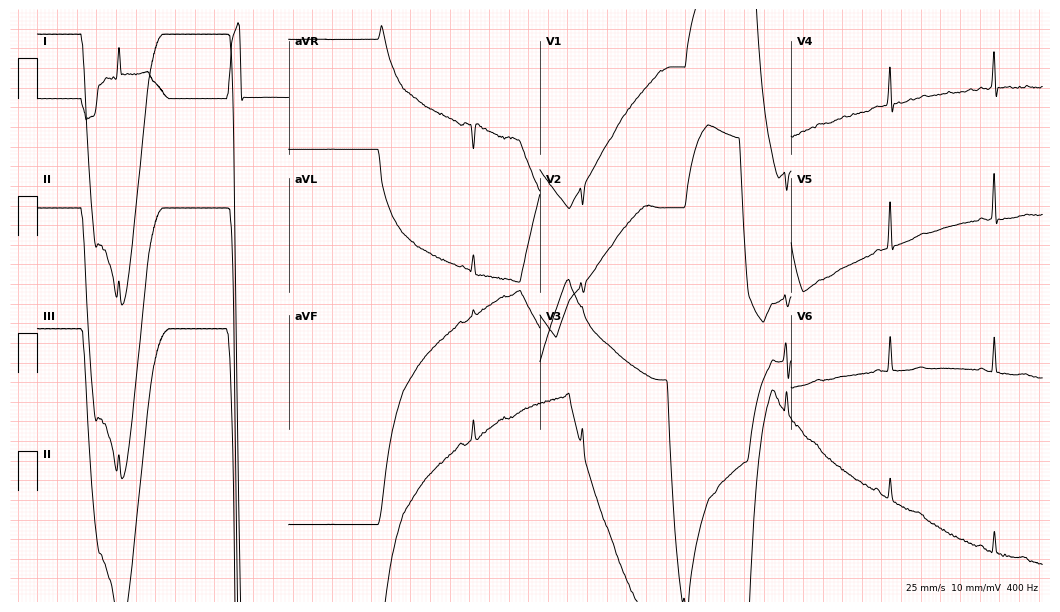
Resting 12-lead electrocardiogram (10.2-second recording at 400 Hz). Patient: a woman, 78 years old. None of these six findings is recorded: first-degree AV block, right bundle branch block, left bundle branch block, sinus bradycardia, atrial fibrillation, sinus tachycardia. Only these six findings were labelled.